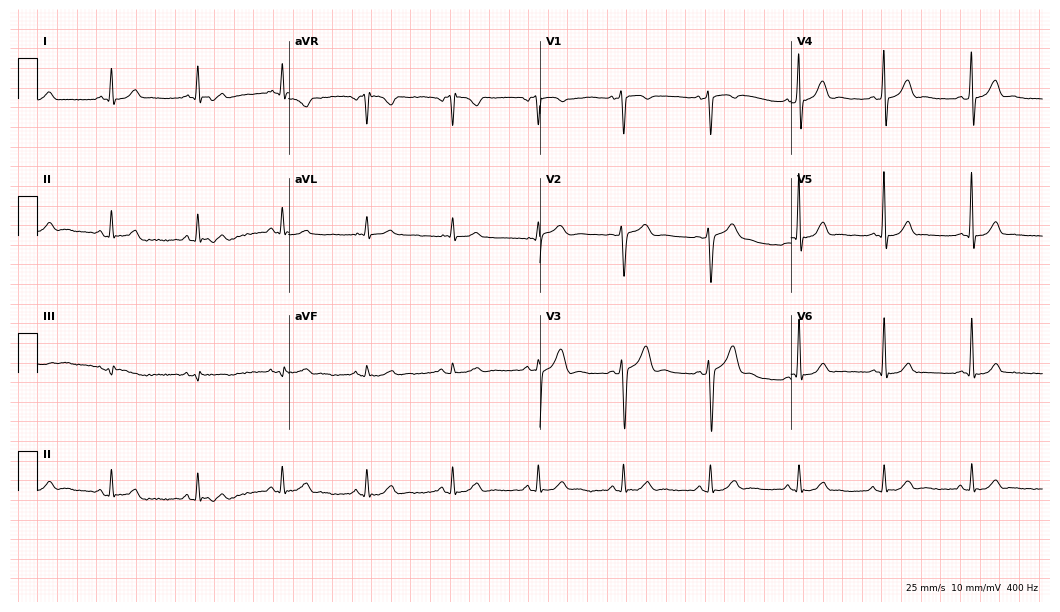
ECG (10.2-second recording at 400 Hz) — a male patient, 46 years old. Labelled as a normal ECG.